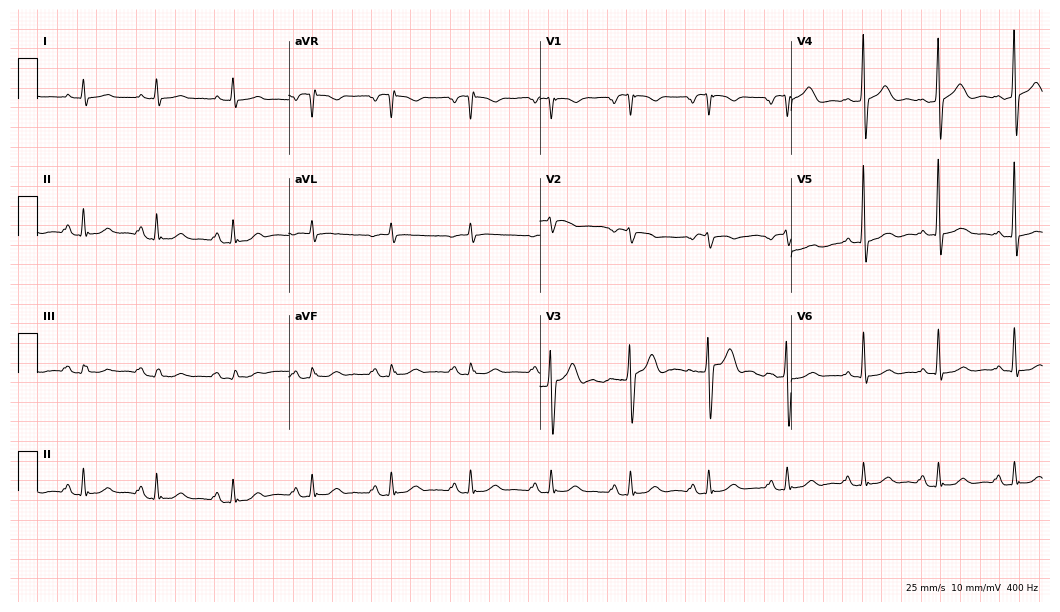
Standard 12-lead ECG recorded from a male, 62 years old. None of these six findings is recorded: first-degree AV block, right bundle branch block (RBBB), left bundle branch block (LBBB), sinus bradycardia, atrial fibrillation (AF), sinus tachycardia. Only these six findings were labelled.